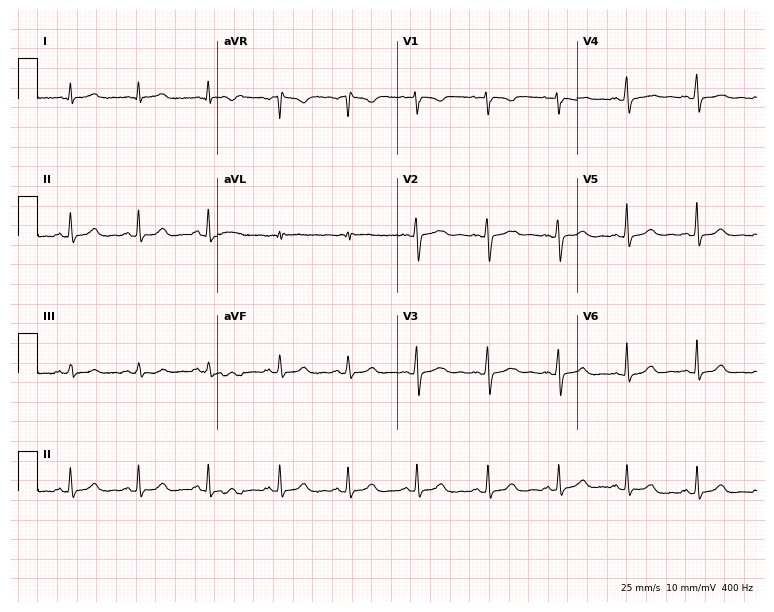
Electrocardiogram, a 36-year-old female. Overall reading on record: normal ECG.